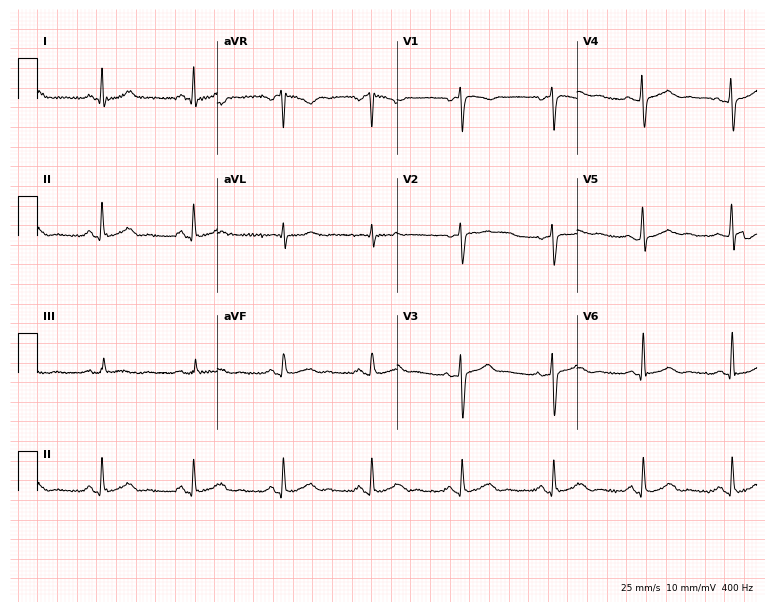
Resting 12-lead electrocardiogram (7.3-second recording at 400 Hz). Patient: a 44-year-old woman. None of these six findings is recorded: first-degree AV block, right bundle branch block, left bundle branch block, sinus bradycardia, atrial fibrillation, sinus tachycardia. Findings outside these six are not listed.